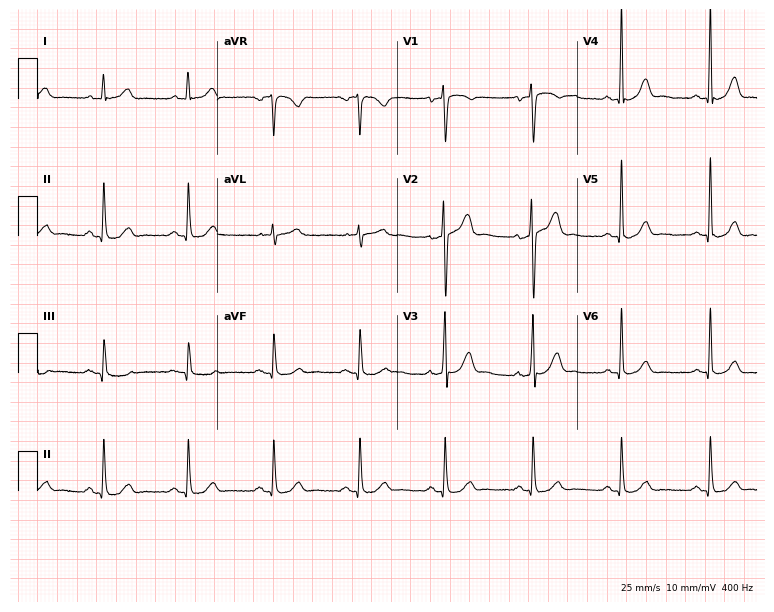
Resting 12-lead electrocardiogram. Patient: a male, 56 years old. Read as a normal ECG.